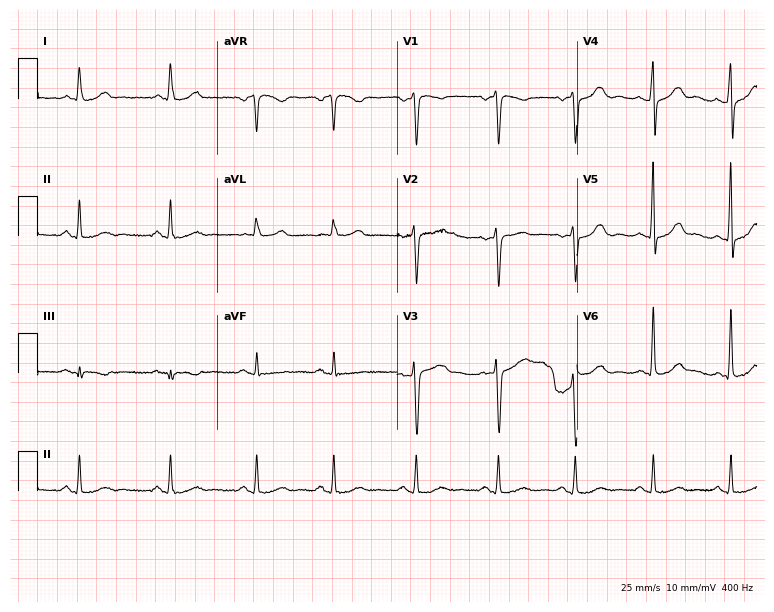
Resting 12-lead electrocardiogram (7.3-second recording at 400 Hz). Patient: a 31-year-old female. Read as a normal ECG.